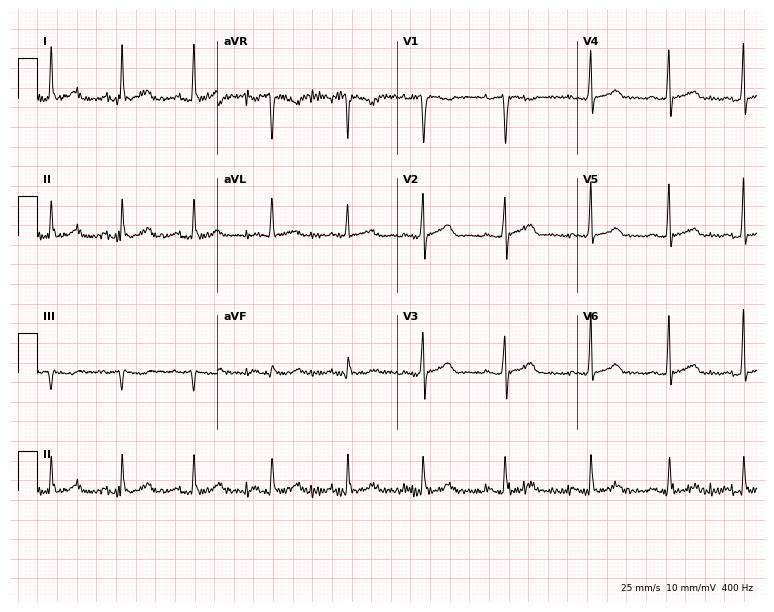
12-lead ECG (7.3-second recording at 400 Hz) from a female patient, 39 years old. Labelled as a normal ECG.